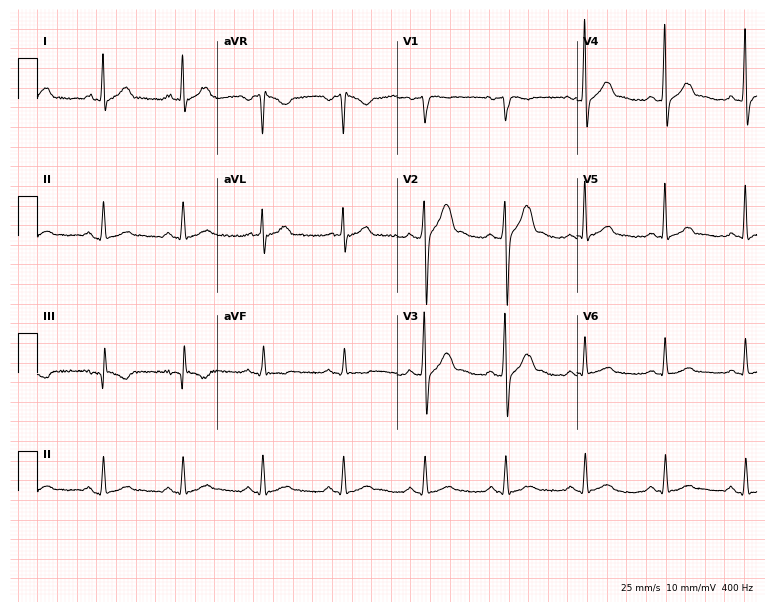
12-lead ECG from a male, 42 years old (7.3-second recording at 400 Hz). Recorded interpretation: within normal limits.